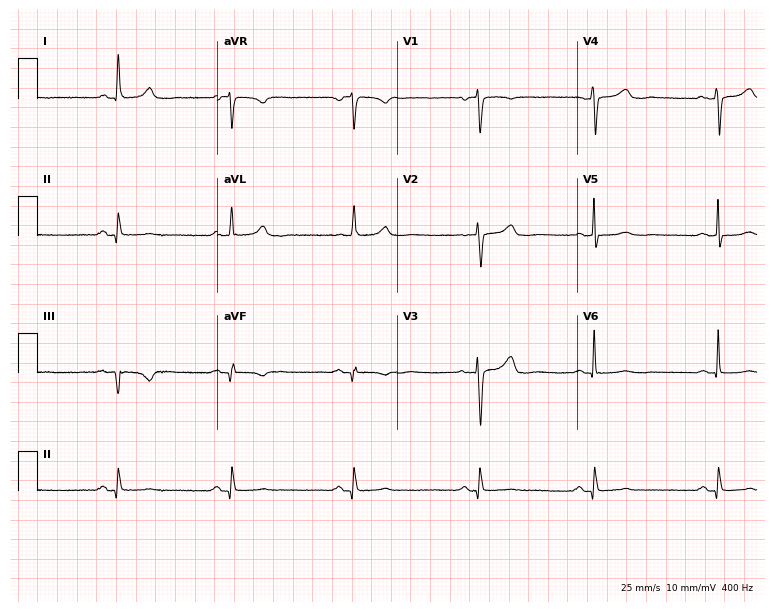
Resting 12-lead electrocardiogram (7.3-second recording at 400 Hz). Patient: a female, 73 years old. Read as a normal ECG.